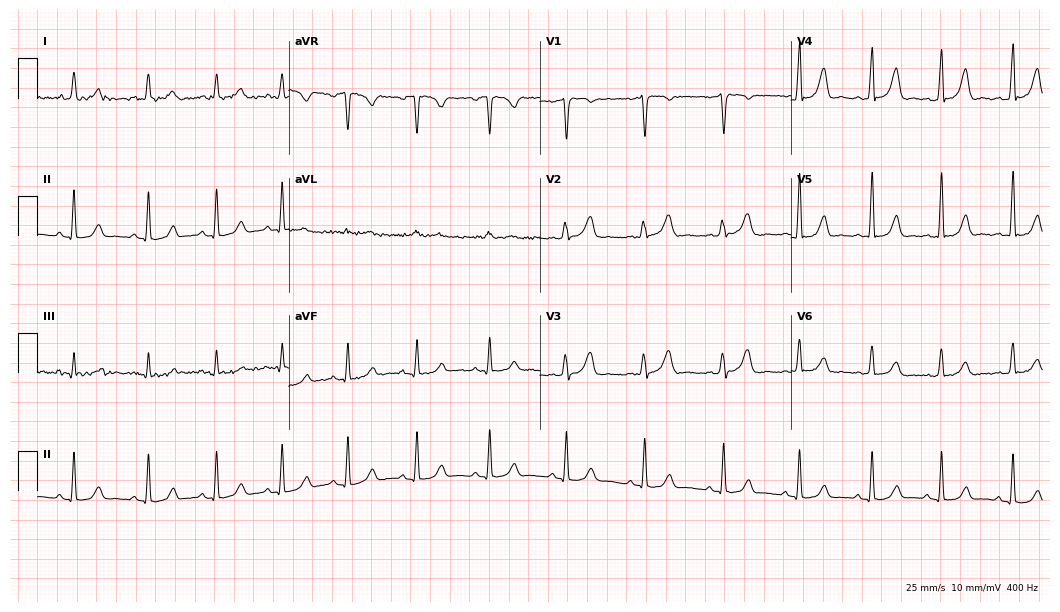
ECG (10.2-second recording at 400 Hz) — a 32-year-old female. Labelled as a normal ECG.